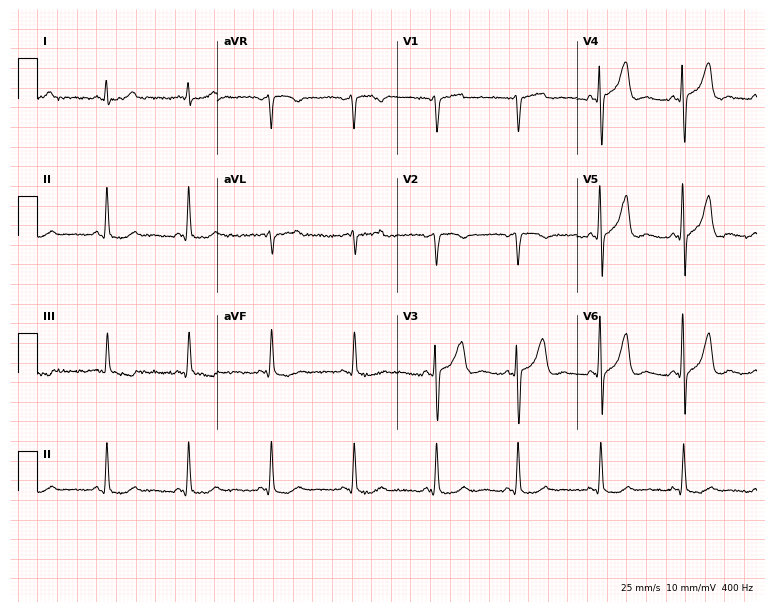
Standard 12-lead ECG recorded from a male patient, 71 years old (7.3-second recording at 400 Hz). None of these six findings is recorded: first-degree AV block, right bundle branch block, left bundle branch block, sinus bradycardia, atrial fibrillation, sinus tachycardia. Findings outside these six are not listed.